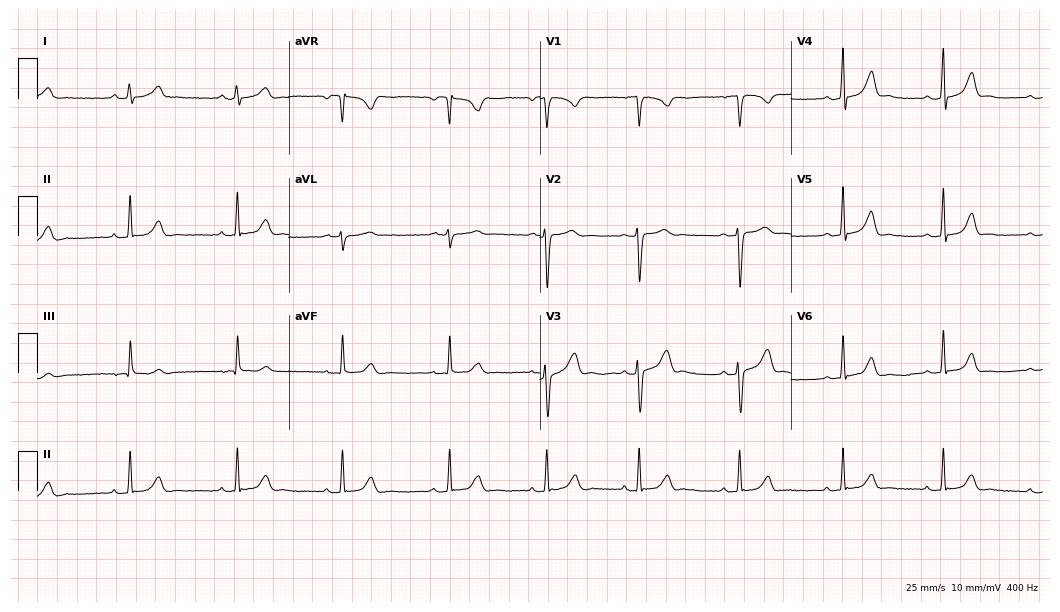
12-lead ECG from a 25-year-old female. Recorded interpretation: within normal limits.